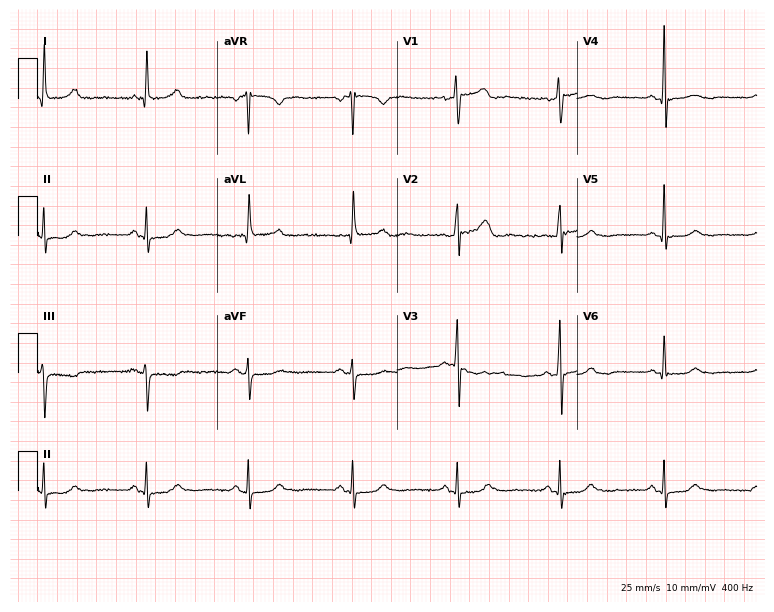
Resting 12-lead electrocardiogram (7.3-second recording at 400 Hz). Patient: a 61-year-old female. None of these six findings is recorded: first-degree AV block, right bundle branch block (RBBB), left bundle branch block (LBBB), sinus bradycardia, atrial fibrillation (AF), sinus tachycardia. Findings outside these six are not listed.